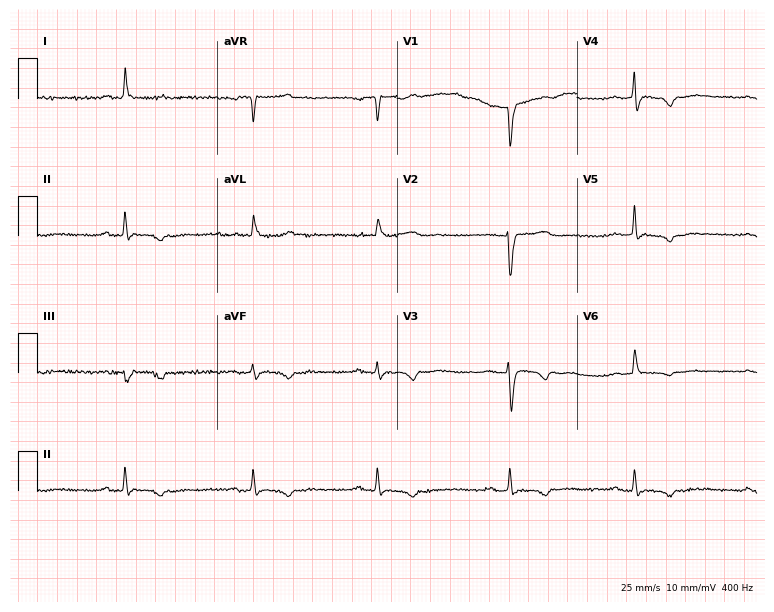
Standard 12-lead ECG recorded from a 72-year-old female (7.3-second recording at 400 Hz). The tracing shows sinus bradycardia (a sinus rate of 50 beats per minute or less).